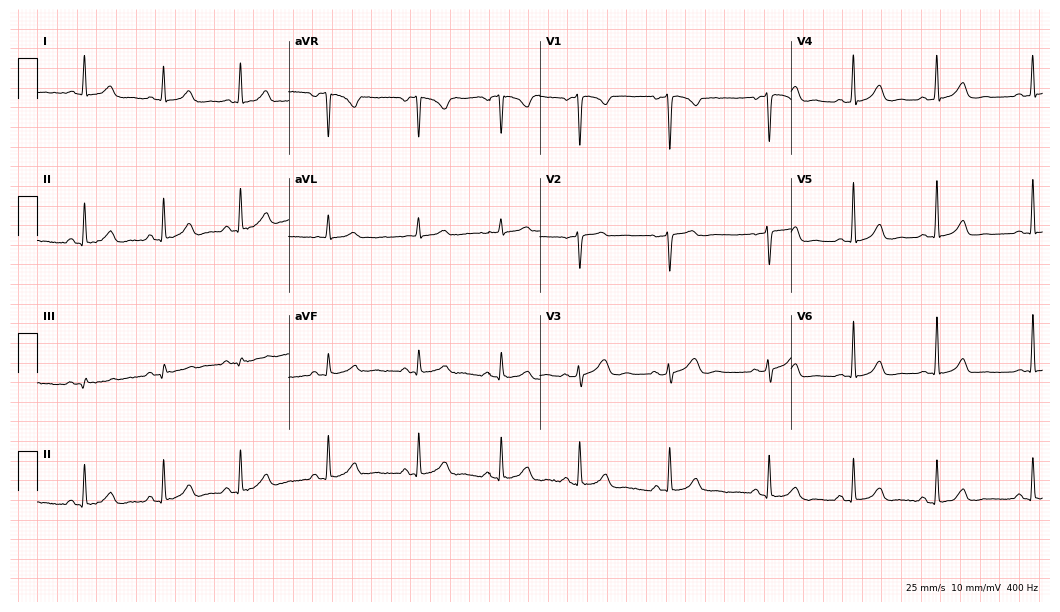
Electrocardiogram, a 31-year-old female. Of the six screened findings (first-degree AV block, right bundle branch block, left bundle branch block, sinus bradycardia, atrial fibrillation, sinus tachycardia), none is recorded. Other findings, if any, are not listed.